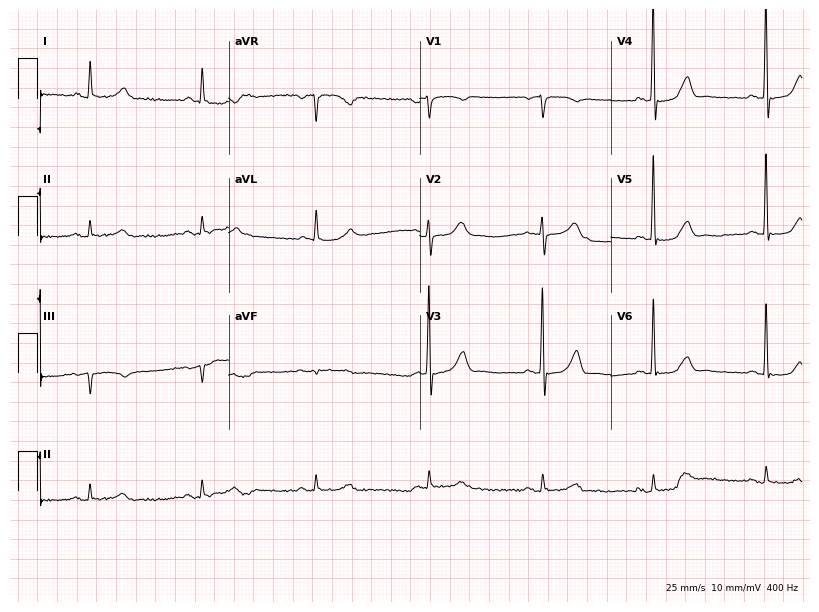
ECG (7.8-second recording at 400 Hz) — an 86-year-old male patient. Screened for six findings — first-degree AV block, right bundle branch block, left bundle branch block, sinus bradycardia, atrial fibrillation, sinus tachycardia — none is recorded. Only these six findings were labelled.